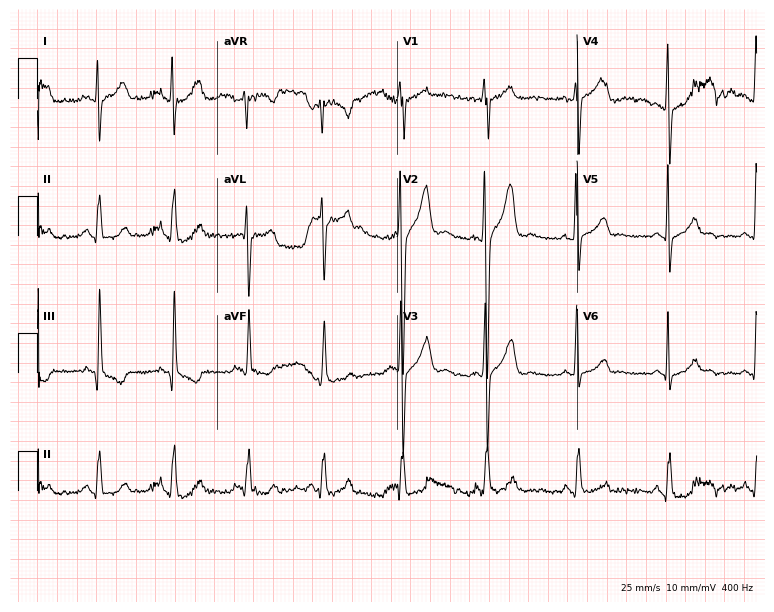
Resting 12-lead electrocardiogram. Patient: a man, 23 years old. None of these six findings is recorded: first-degree AV block, right bundle branch block, left bundle branch block, sinus bradycardia, atrial fibrillation, sinus tachycardia. Other findings, if any, are not listed.